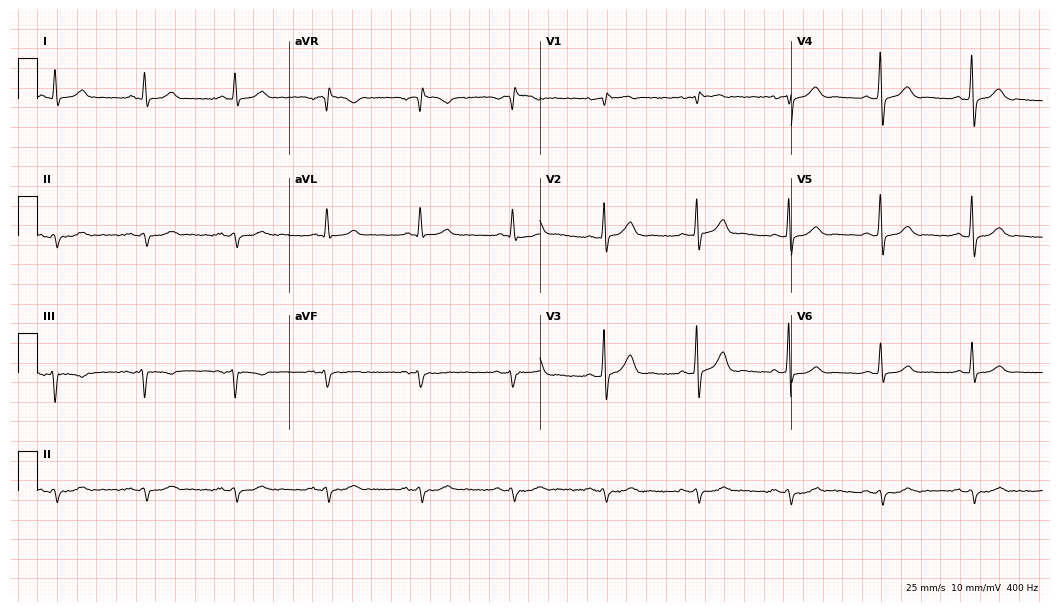
12-lead ECG from a male, 68 years old (10.2-second recording at 400 Hz). No first-degree AV block, right bundle branch block, left bundle branch block, sinus bradycardia, atrial fibrillation or sinus tachycardia recorded for this tracing. Only these six findings were labelled.